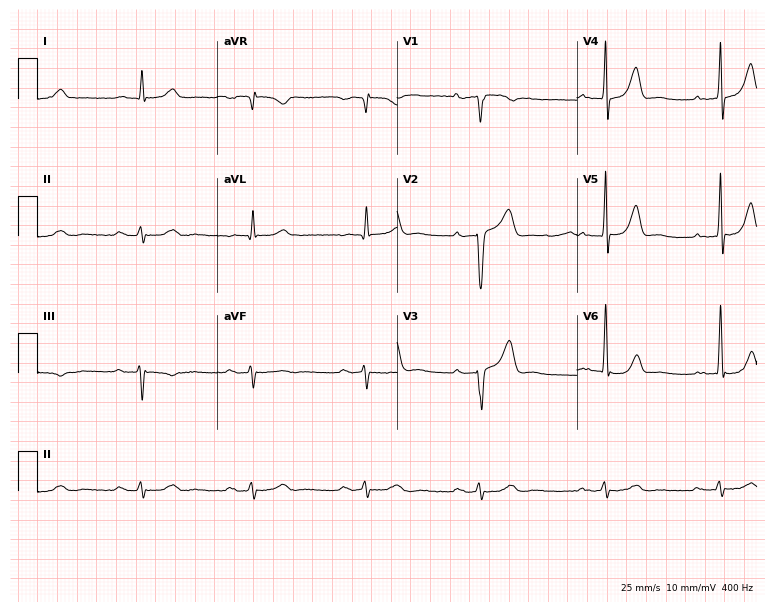
12-lead ECG from a 76-year-old male patient (7.3-second recording at 400 Hz). Shows first-degree AV block.